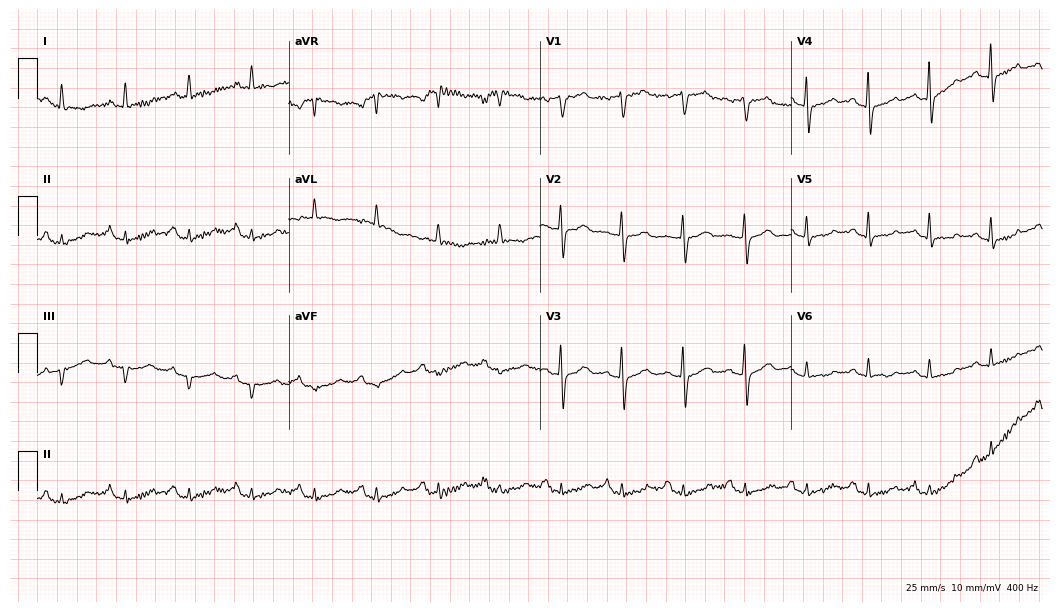
12-lead ECG from a 66-year-old female patient. Screened for six findings — first-degree AV block, right bundle branch block (RBBB), left bundle branch block (LBBB), sinus bradycardia, atrial fibrillation (AF), sinus tachycardia — none is recorded.